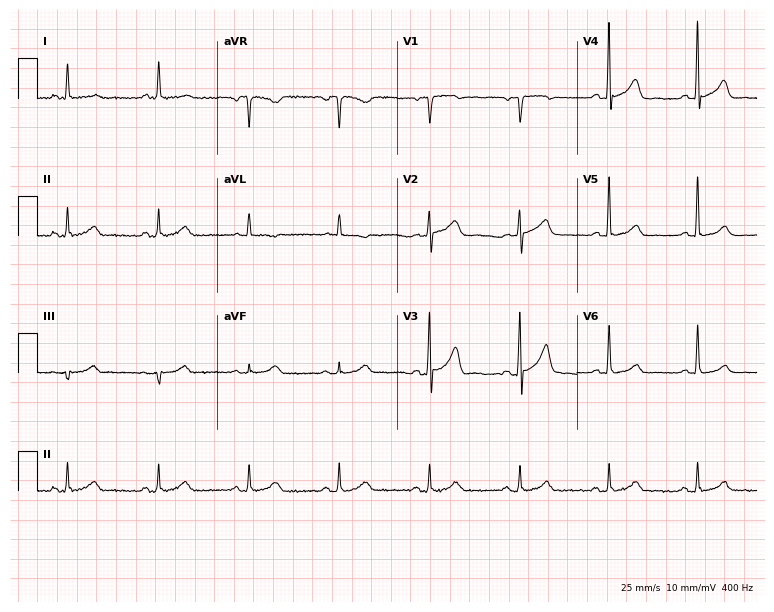
Resting 12-lead electrocardiogram. Patient: a 68-year-old man. None of these six findings is recorded: first-degree AV block, right bundle branch block (RBBB), left bundle branch block (LBBB), sinus bradycardia, atrial fibrillation (AF), sinus tachycardia. Only these six findings were labelled.